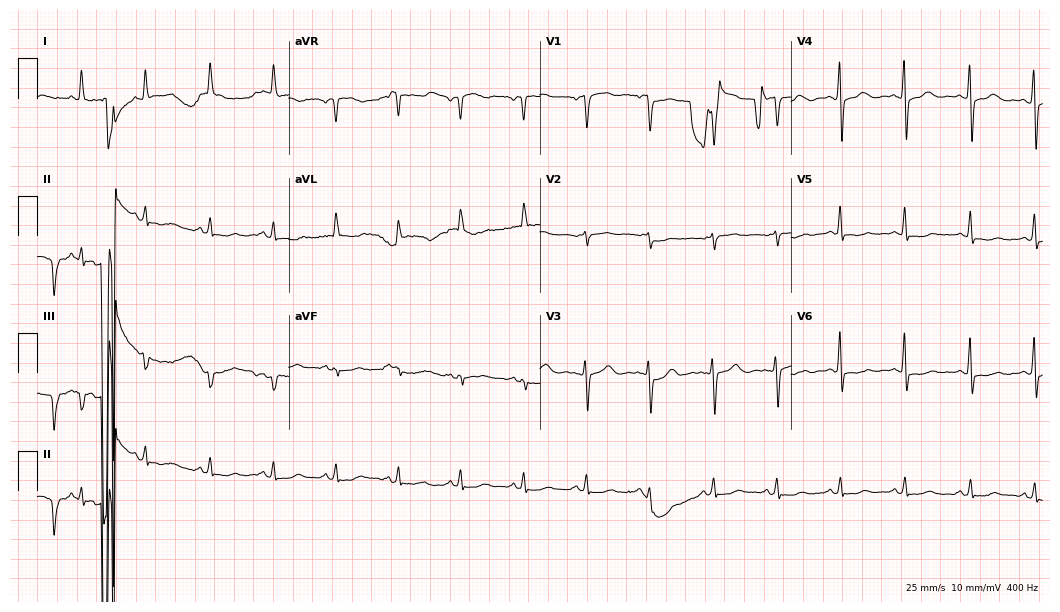
Standard 12-lead ECG recorded from a 60-year-old female (10.2-second recording at 400 Hz). None of these six findings is recorded: first-degree AV block, right bundle branch block (RBBB), left bundle branch block (LBBB), sinus bradycardia, atrial fibrillation (AF), sinus tachycardia.